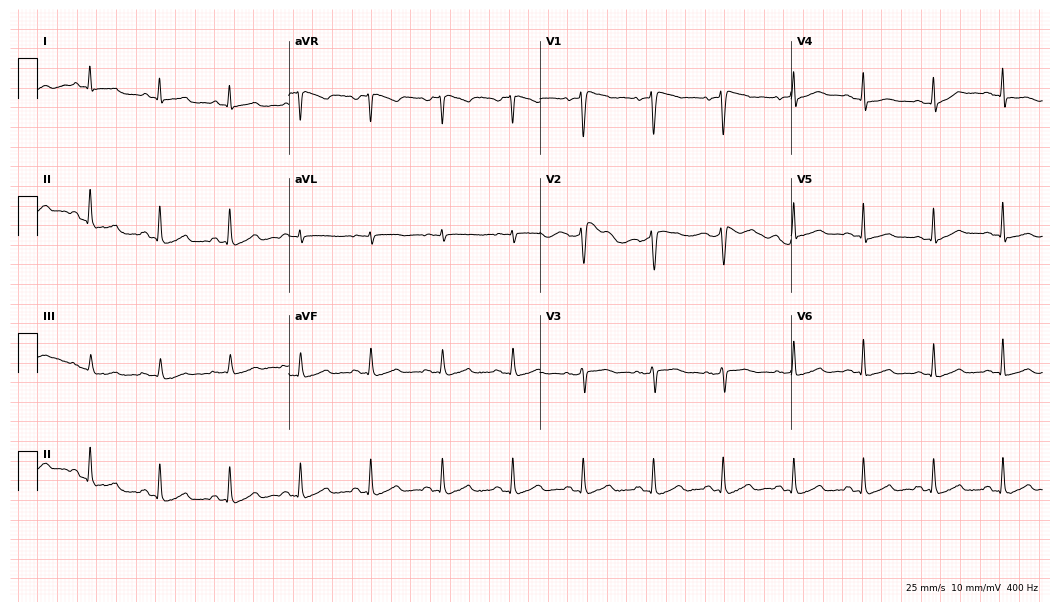
12-lead ECG from a woman, 58 years old. Screened for six findings — first-degree AV block, right bundle branch block, left bundle branch block, sinus bradycardia, atrial fibrillation, sinus tachycardia — none is recorded.